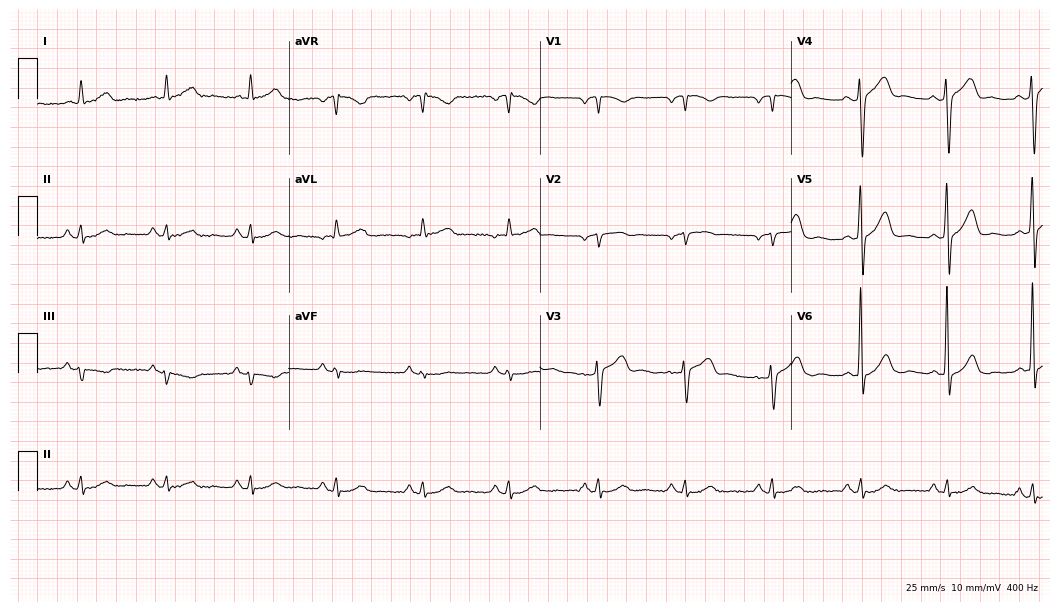
12-lead ECG (10.2-second recording at 400 Hz) from a 64-year-old man. Labelled as a normal ECG.